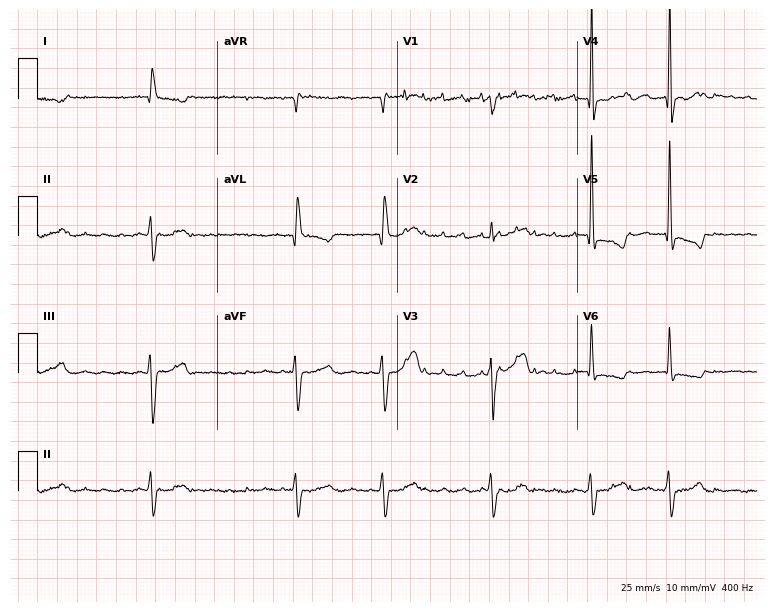
Electrocardiogram, a male, 81 years old. Interpretation includes atrial fibrillation.